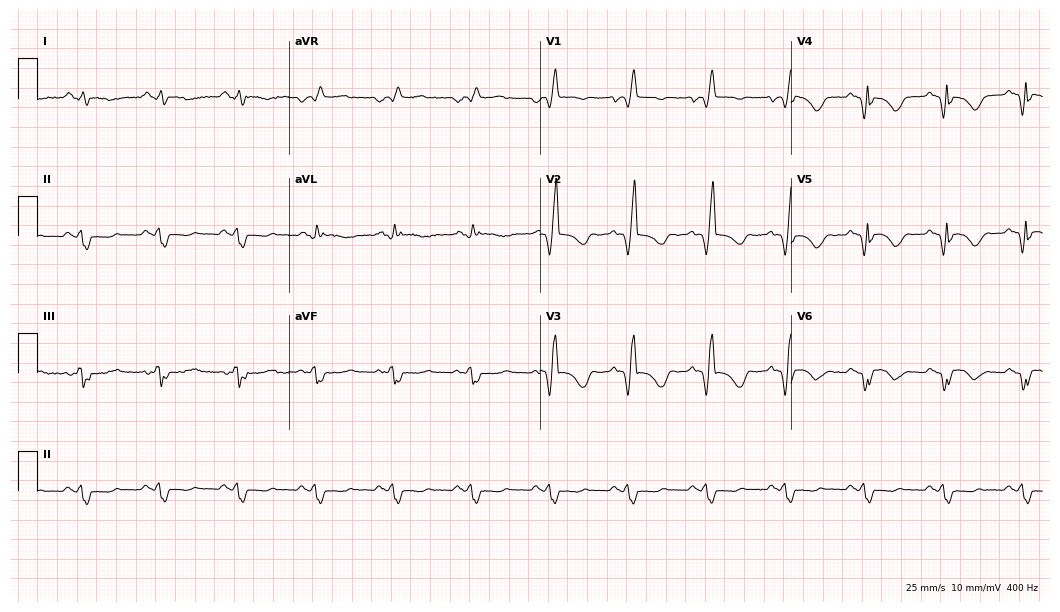
12-lead ECG from a 47-year-old male patient. Screened for six findings — first-degree AV block, right bundle branch block, left bundle branch block, sinus bradycardia, atrial fibrillation, sinus tachycardia — none is recorded. Other findings, if any, are not listed.